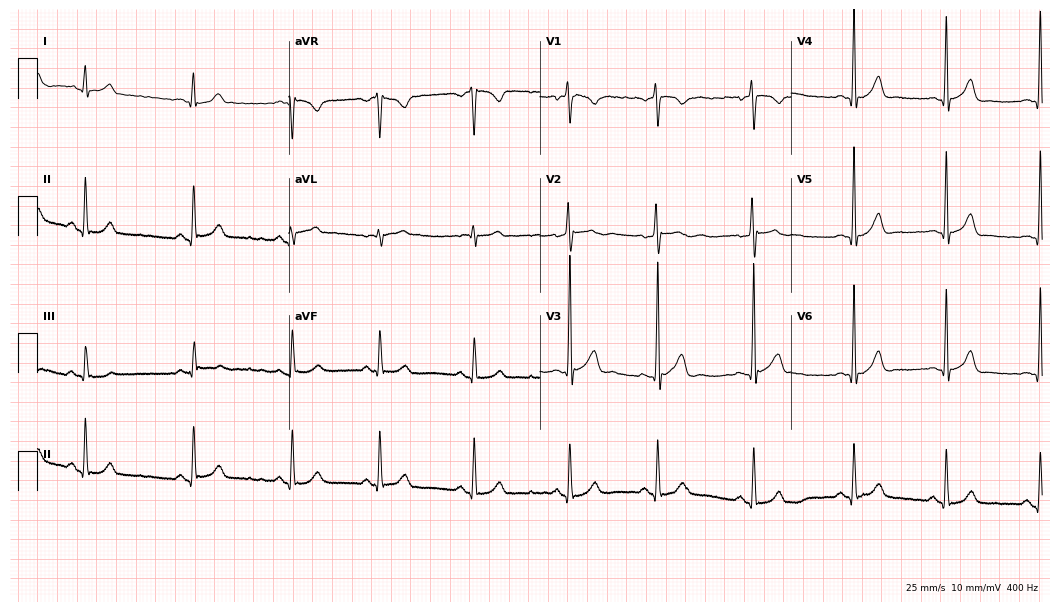
12-lead ECG from a male, 25 years old (10.2-second recording at 400 Hz). No first-degree AV block, right bundle branch block, left bundle branch block, sinus bradycardia, atrial fibrillation or sinus tachycardia recorded for this tracing. Findings outside these six are not listed.